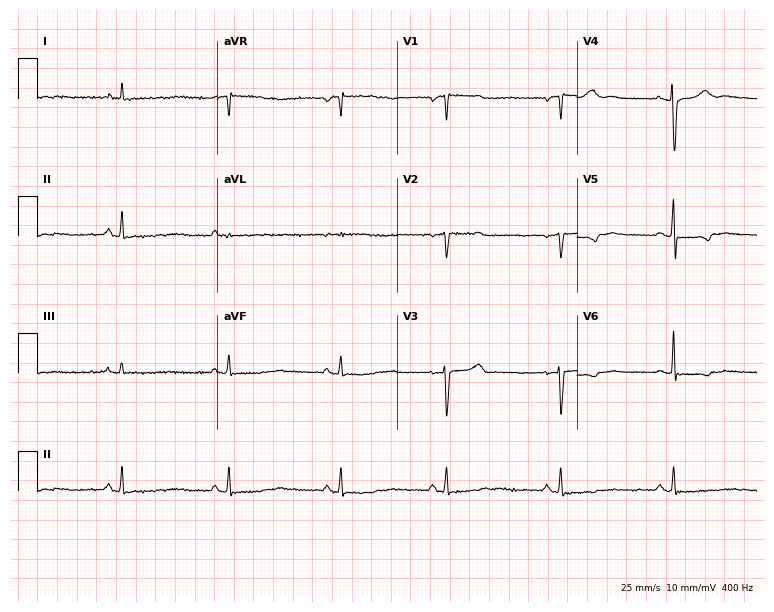
Electrocardiogram, a female patient, 47 years old. Of the six screened findings (first-degree AV block, right bundle branch block (RBBB), left bundle branch block (LBBB), sinus bradycardia, atrial fibrillation (AF), sinus tachycardia), none is recorded. Only these six findings were labelled.